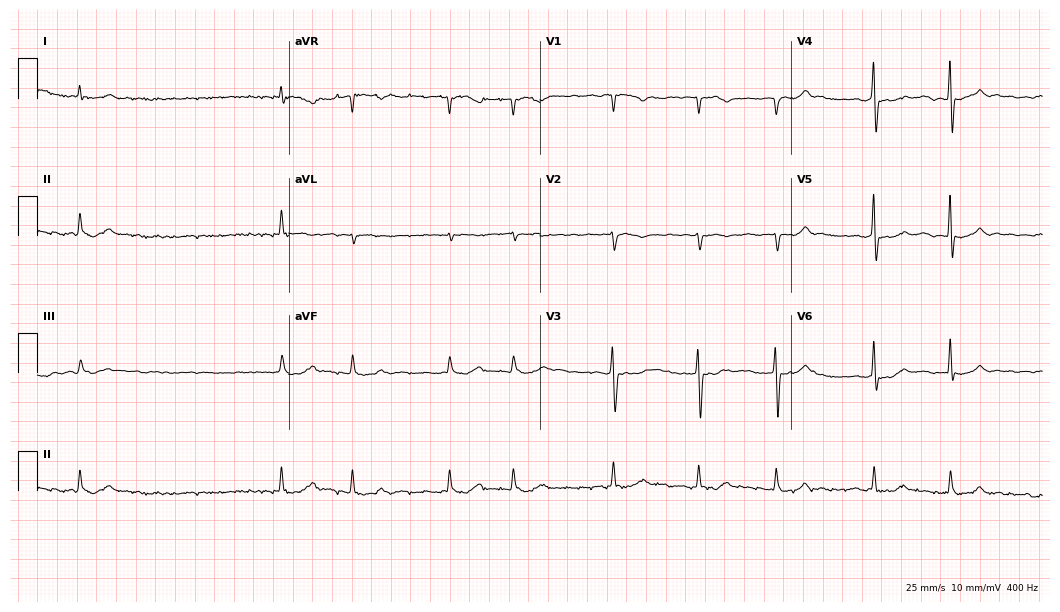
ECG — a 78-year-old man. Findings include atrial fibrillation.